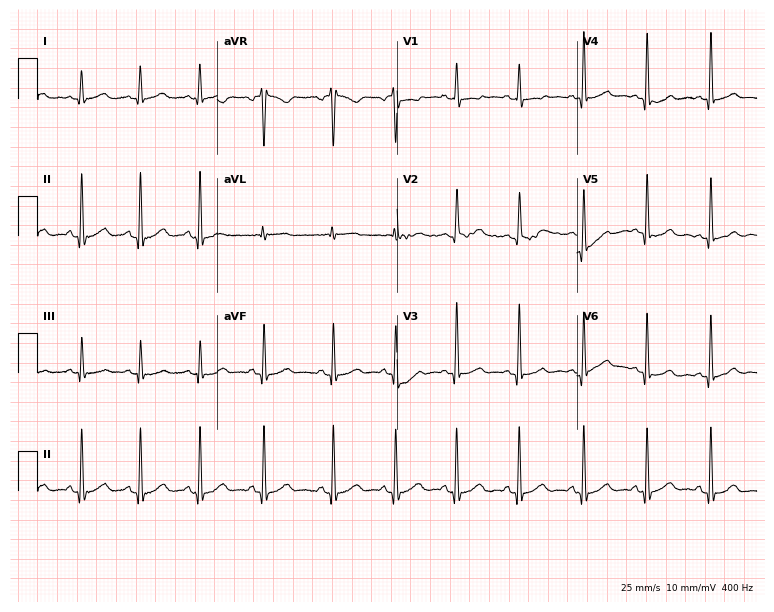
Standard 12-lead ECG recorded from a female patient, 32 years old (7.3-second recording at 400 Hz). Read as a normal ECG.